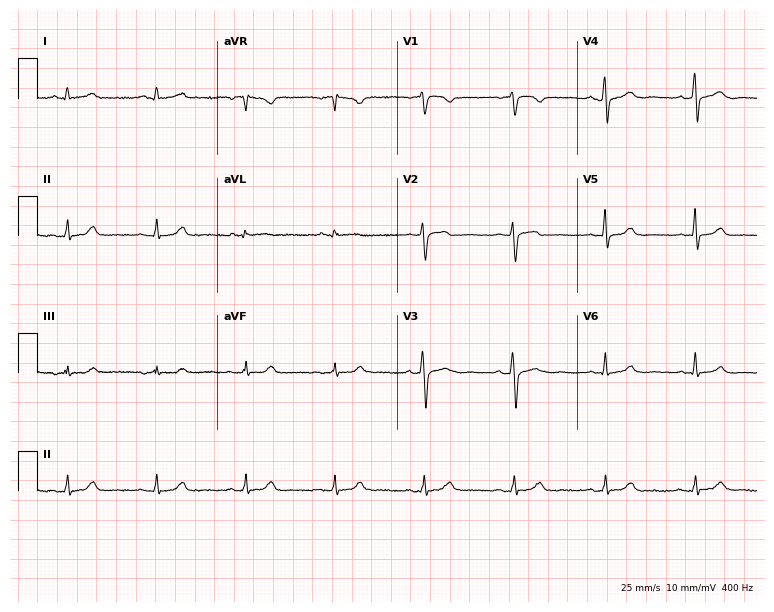
ECG (7.3-second recording at 400 Hz) — a 72-year-old male patient. Labelled as a normal ECG.